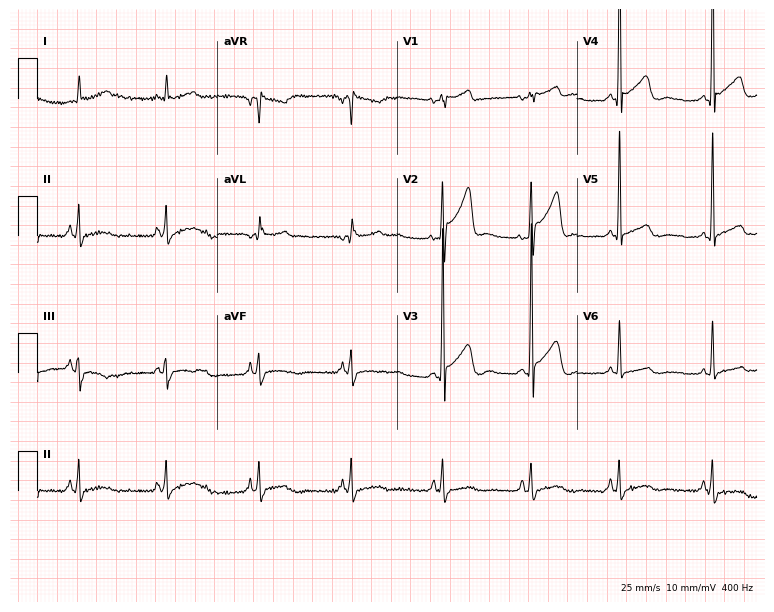
ECG — a male patient, 68 years old. Screened for six findings — first-degree AV block, right bundle branch block (RBBB), left bundle branch block (LBBB), sinus bradycardia, atrial fibrillation (AF), sinus tachycardia — none is recorded.